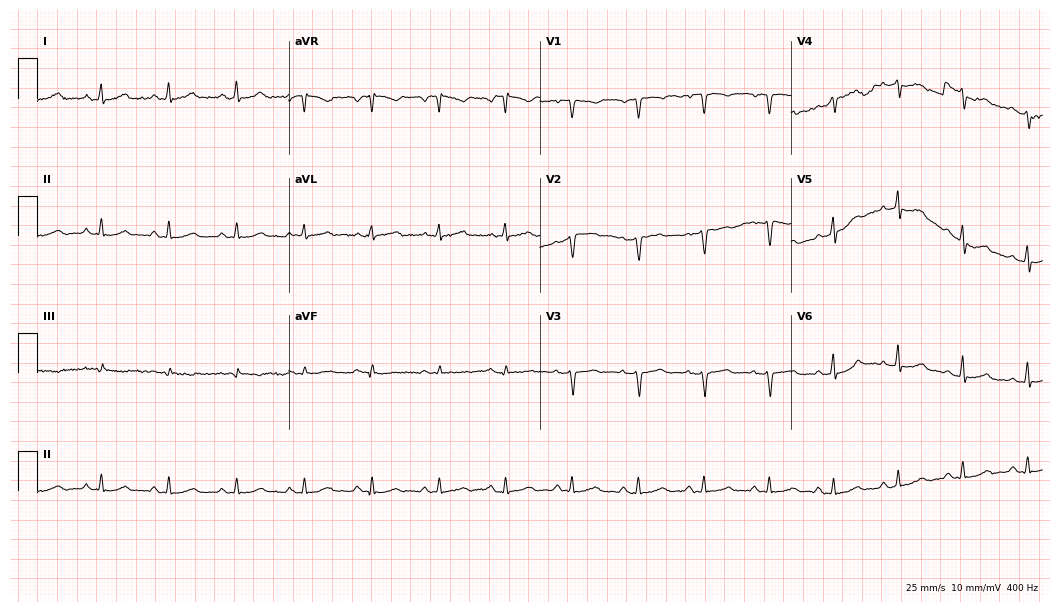
12-lead ECG (10.2-second recording at 400 Hz) from a female, 55 years old. Screened for six findings — first-degree AV block, right bundle branch block, left bundle branch block, sinus bradycardia, atrial fibrillation, sinus tachycardia — none is recorded.